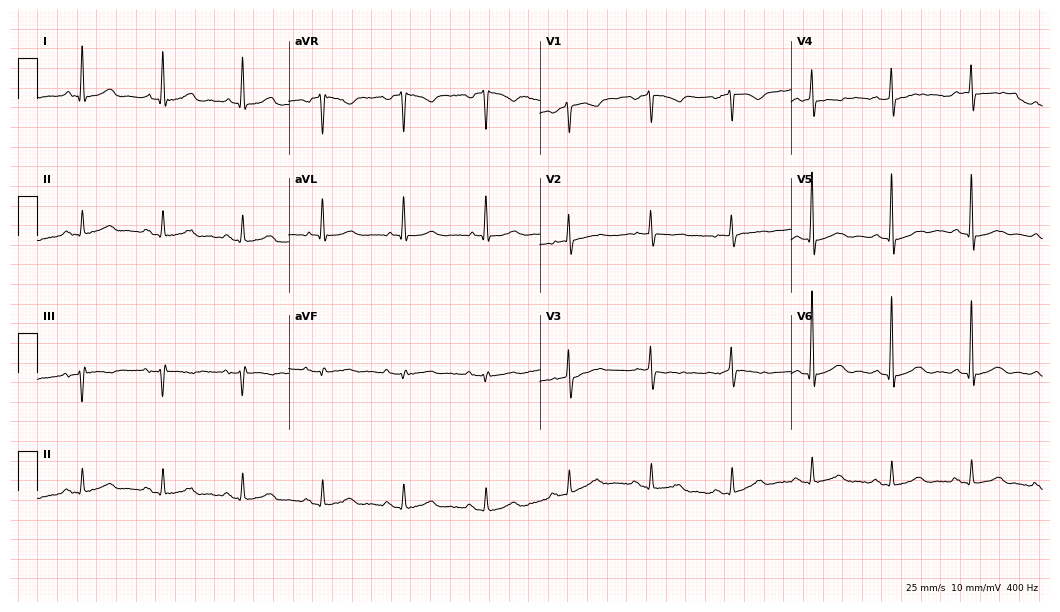
Resting 12-lead electrocardiogram (10.2-second recording at 400 Hz). Patient: a 74-year-old man. None of these six findings is recorded: first-degree AV block, right bundle branch block, left bundle branch block, sinus bradycardia, atrial fibrillation, sinus tachycardia. Other findings, if any, are not listed.